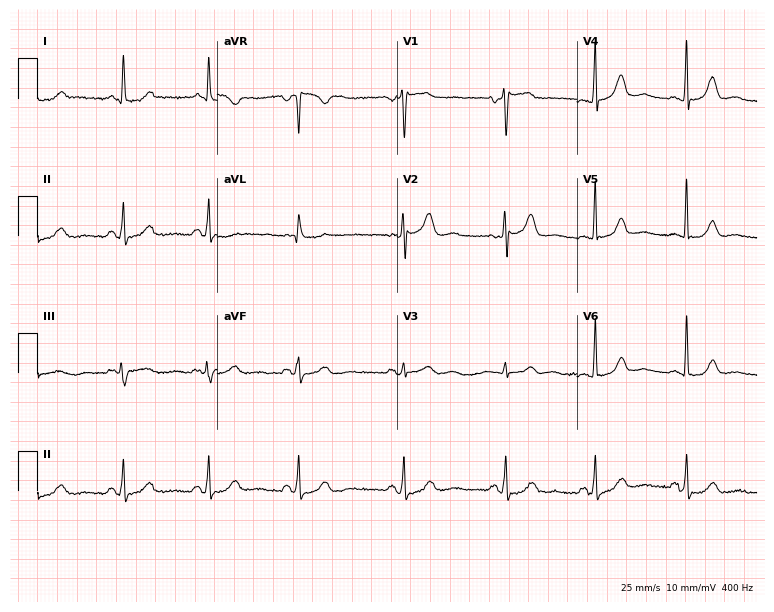
12-lead ECG from a 44-year-old female patient (7.3-second recording at 400 Hz). Recorded interpretation: within normal limits.